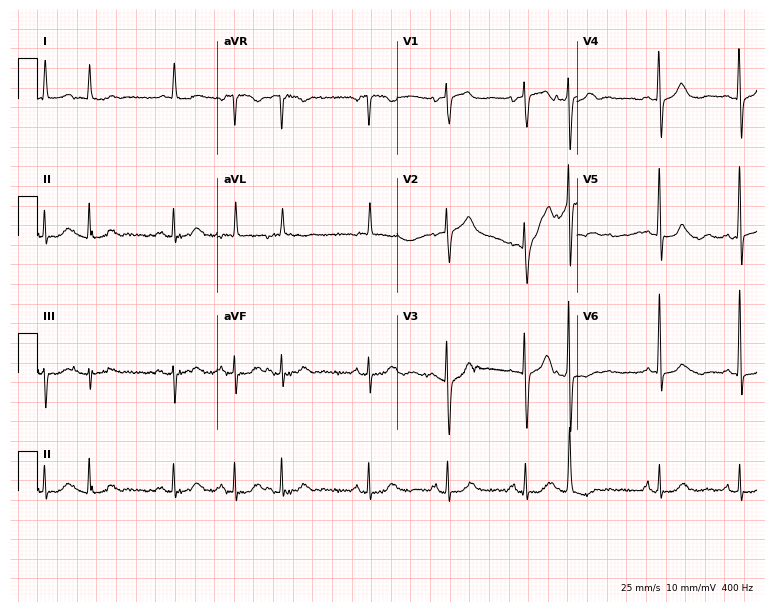
12-lead ECG from an 81-year-old woman. Screened for six findings — first-degree AV block, right bundle branch block, left bundle branch block, sinus bradycardia, atrial fibrillation, sinus tachycardia — none is recorded. Other findings, if any, are not listed.